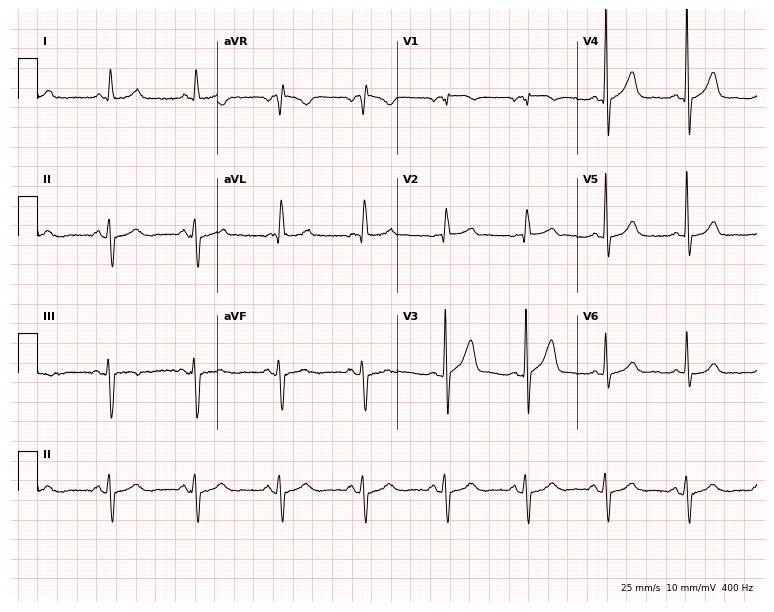
Electrocardiogram (7.3-second recording at 400 Hz), a 73-year-old man. Of the six screened findings (first-degree AV block, right bundle branch block (RBBB), left bundle branch block (LBBB), sinus bradycardia, atrial fibrillation (AF), sinus tachycardia), none is recorded. Findings outside these six are not listed.